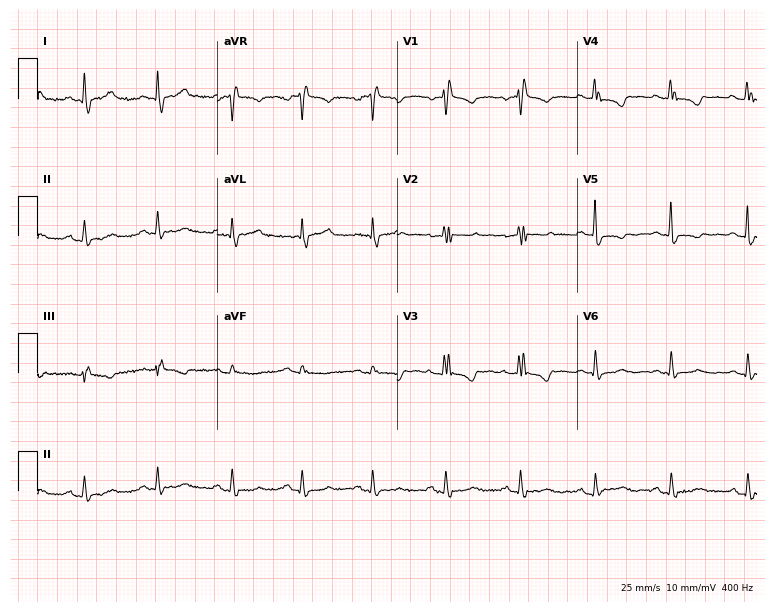
12-lead ECG from a woman, 47 years old. No first-degree AV block, right bundle branch block, left bundle branch block, sinus bradycardia, atrial fibrillation or sinus tachycardia recorded for this tracing.